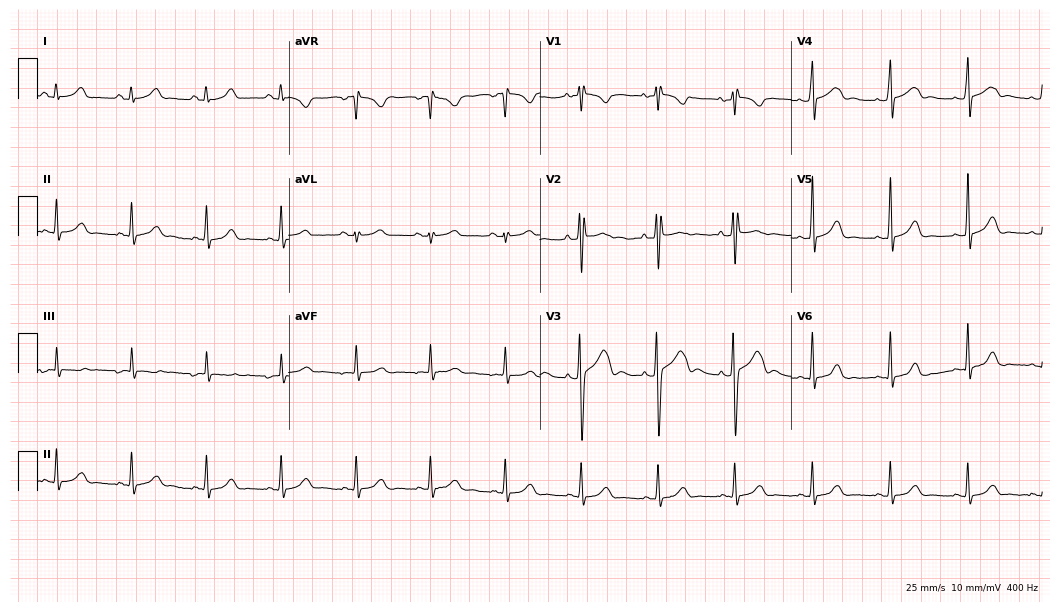
Resting 12-lead electrocardiogram (10.2-second recording at 400 Hz). Patient: a 26-year-old female. None of these six findings is recorded: first-degree AV block, right bundle branch block, left bundle branch block, sinus bradycardia, atrial fibrillation, sinus tachycardia. Other findings, if any, are not listed.